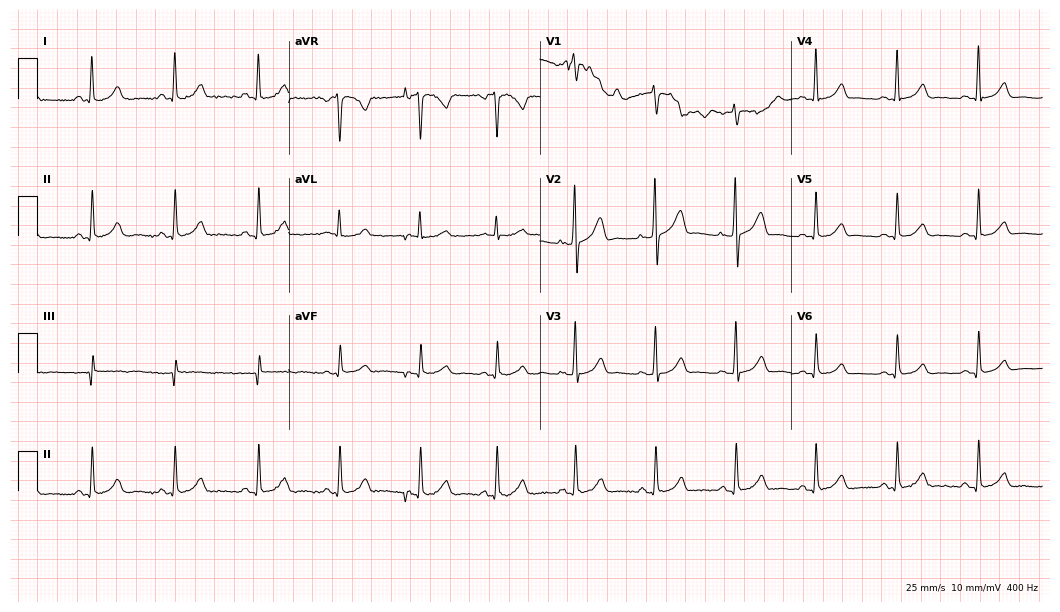
12-lead ECG from a female patient, 35 years old (10.2-second recording at 400 Hz). No first-degree AV block, right bundle branch block (RBBB), left bundle branch block (LBBB), sinus bradycardia, atrial fibrillation (AF) or sinus tachycardia recorded for this tracing. Only these six findings were labelled.